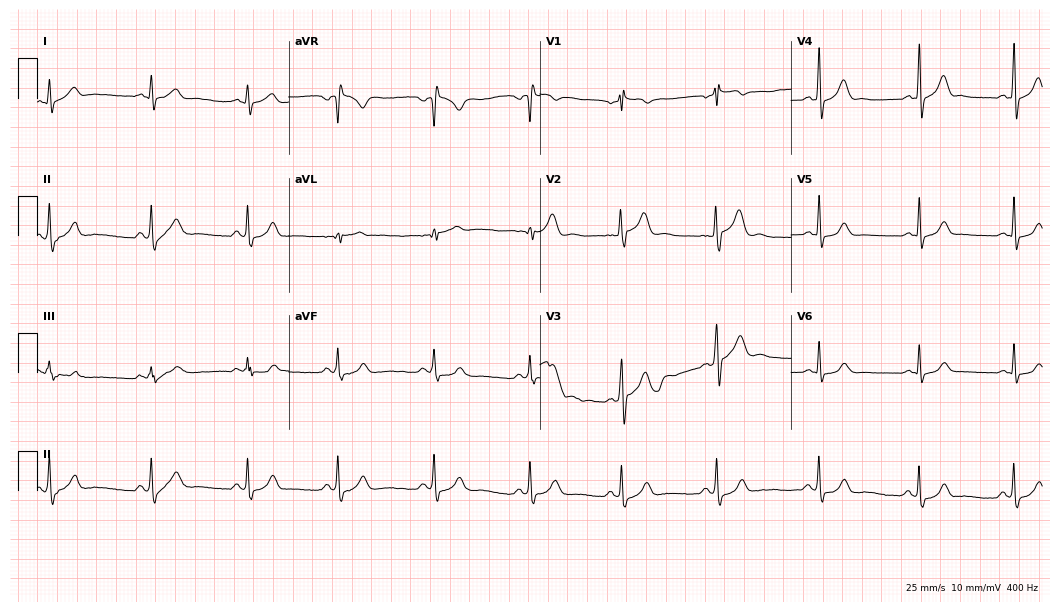
12-lead ECG from a man, 28 years old. Screened for six findings — first-degree AV block, right bundle branch block, left bundle branch block, sinus bradycardia, atrial fibrillation, sinus tachycardia — none is recorded.